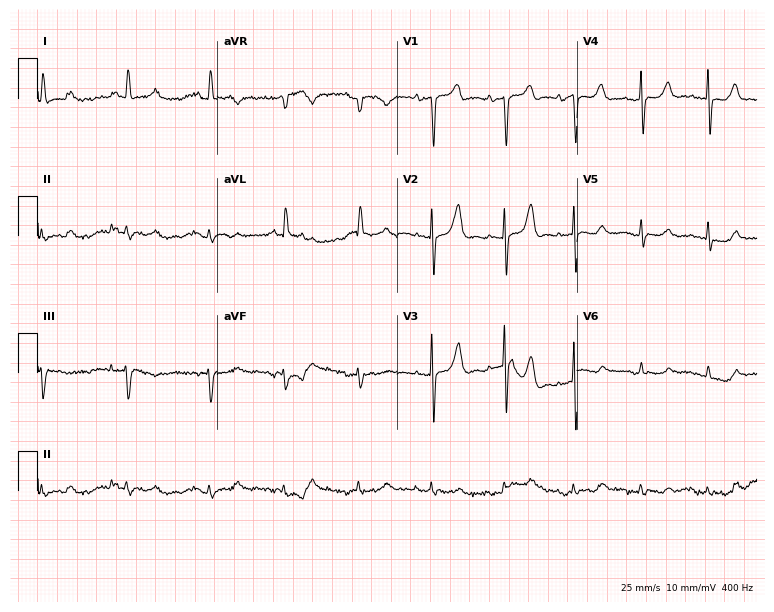
Electrocardiogram (7.3-second recording at 400 Hz), a female patient, 85 years old. Of the six screened findings (first-degree AV block, right bundle branch block, left bundle branch block, sinus bradycardia, atrial fibrillation, sinus tachycardia), none is recorded. Only these six findings were labelled.